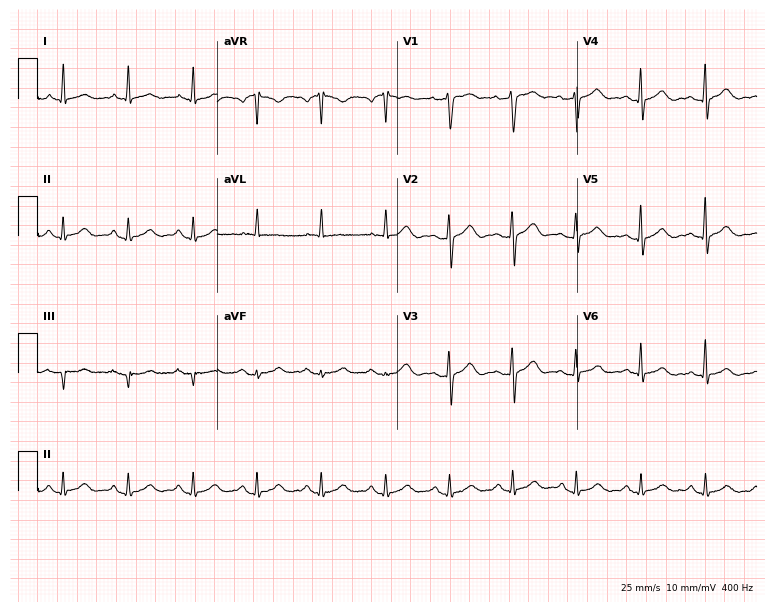
12-lead ECG (7.3-second recording at 400 Hz) from a male patient, 62 years old. Screened for six findings — first-degree AV block, right bundle branch block, left bundle branch block, sinus bradycardia, atrial fibrillation, sinus tachycardia — none is recorded.